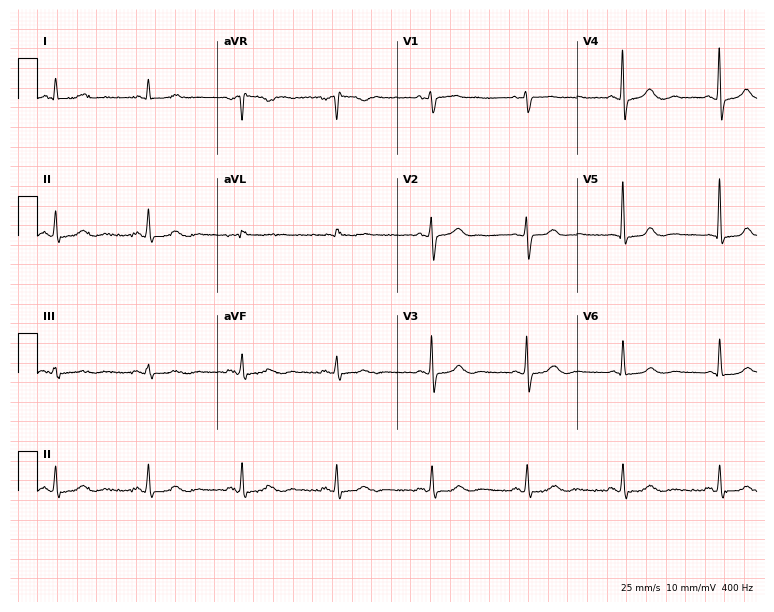
12-lead ECG from a male, 82 years old (7.3-second recording at 400 Hz). Recorded interpretation: within normal limits.